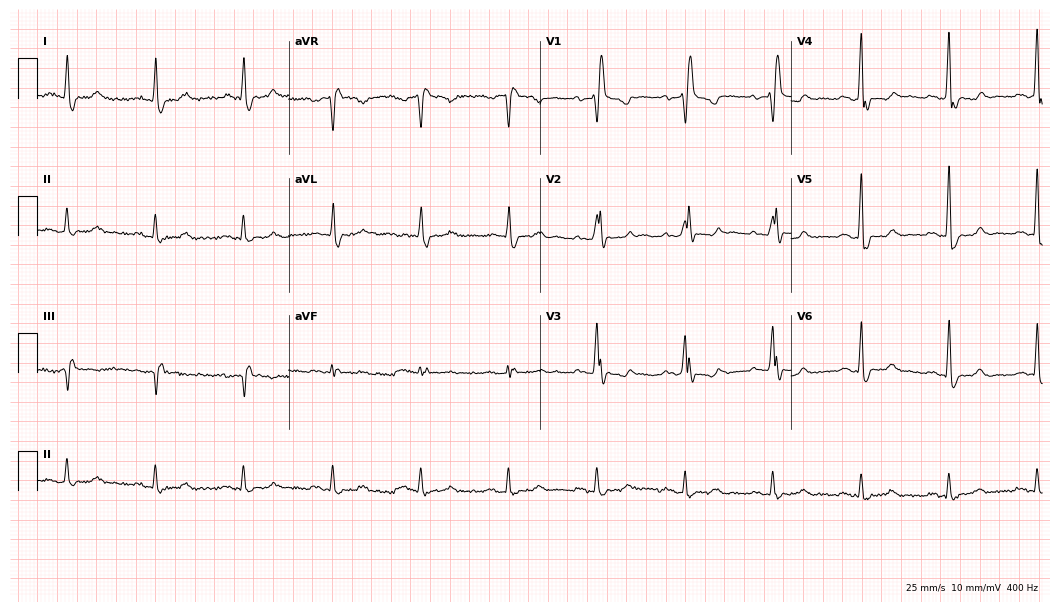
ECG (10.2-second recording at 400 Hz) — an 85-year-old male patient. Findings include right bundle branch block.